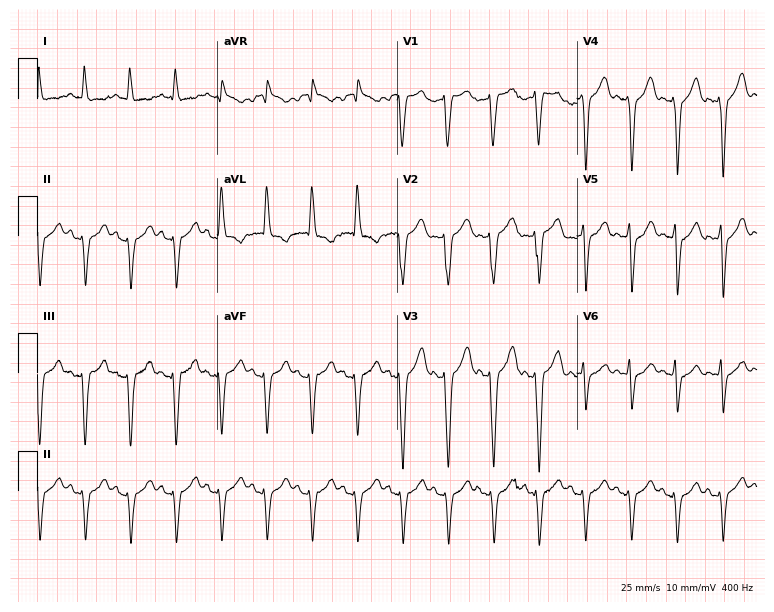
Electrocardiogram (7.3-second recording at 400 Hz), a male, 77 years old. Interpretation includes sinus tachycardia (a sinus rate of 100 beats per minute or more).